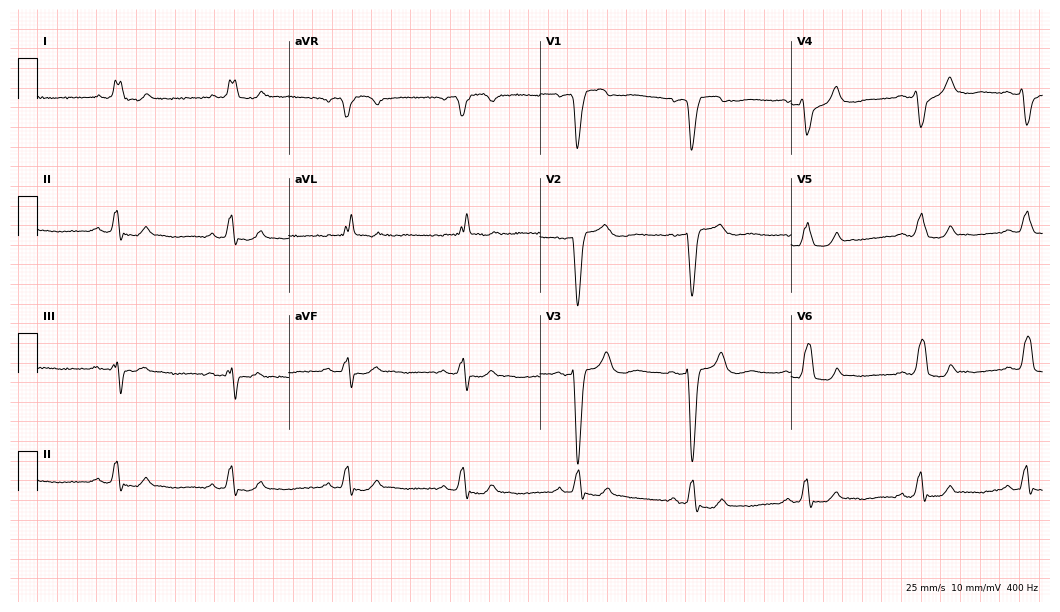
12-lead ECG from a 64-year-old woman. Findings include left bundle branch block.